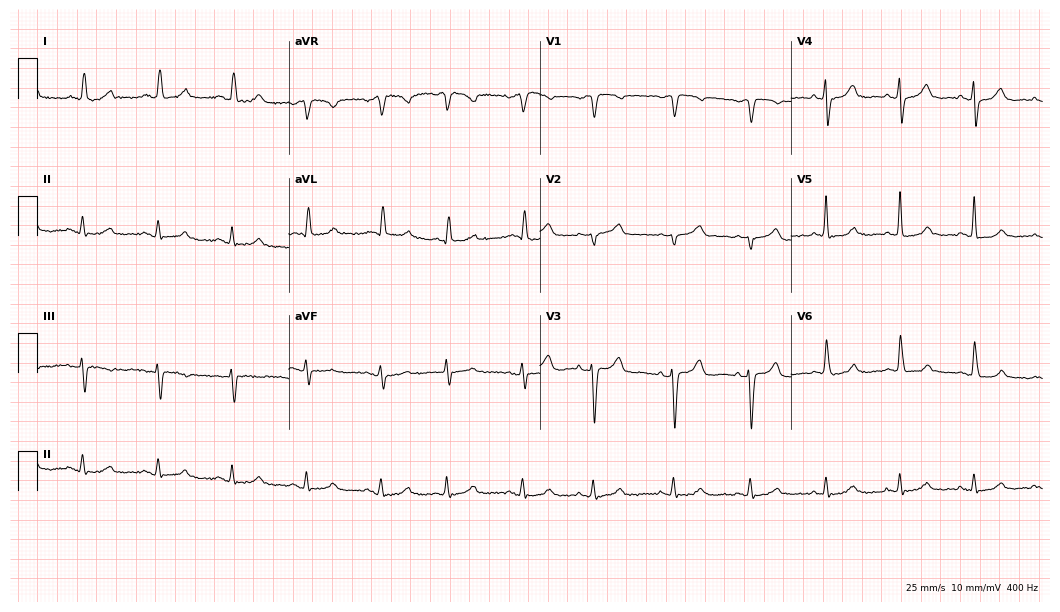
12-lead ECG from a woman, 76 years old. No first-degree AV block, right bundle branch block, left bundle branch block, sinus bradycardia, atrial fibrillation or sinus tachycardia recorded for this tracing.